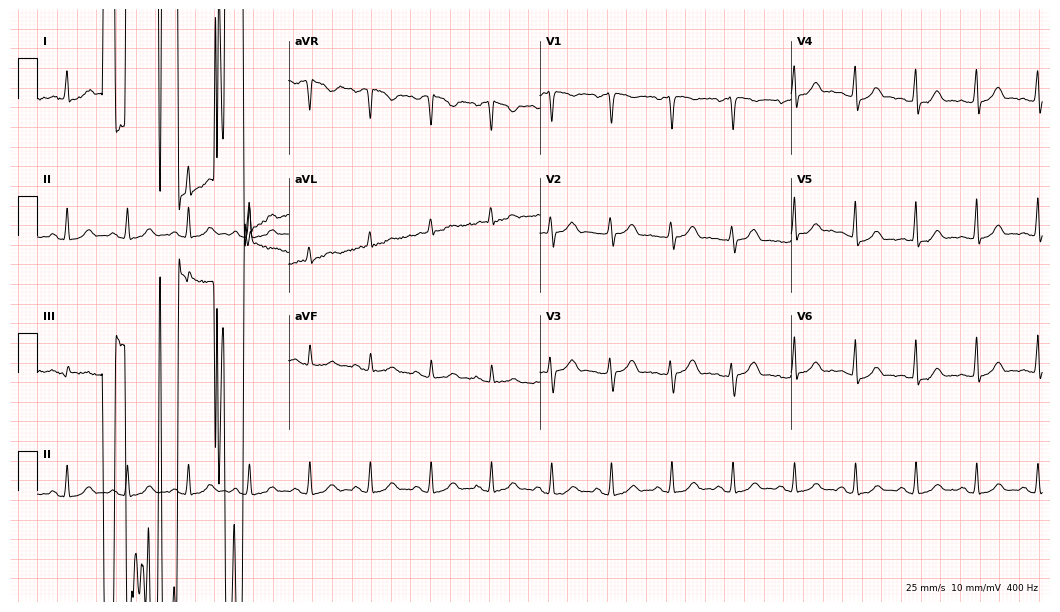
ECG (10.2-second recording at 400 Hz) — a 53-year-old female patient. Screened for six findings — first-degree AV block, right bundle branch block (RBBB), left bundle branch block (LBBB), sinus bradycardia, atrial fibrillation (AF), sinus tachycardia — none is recorded.